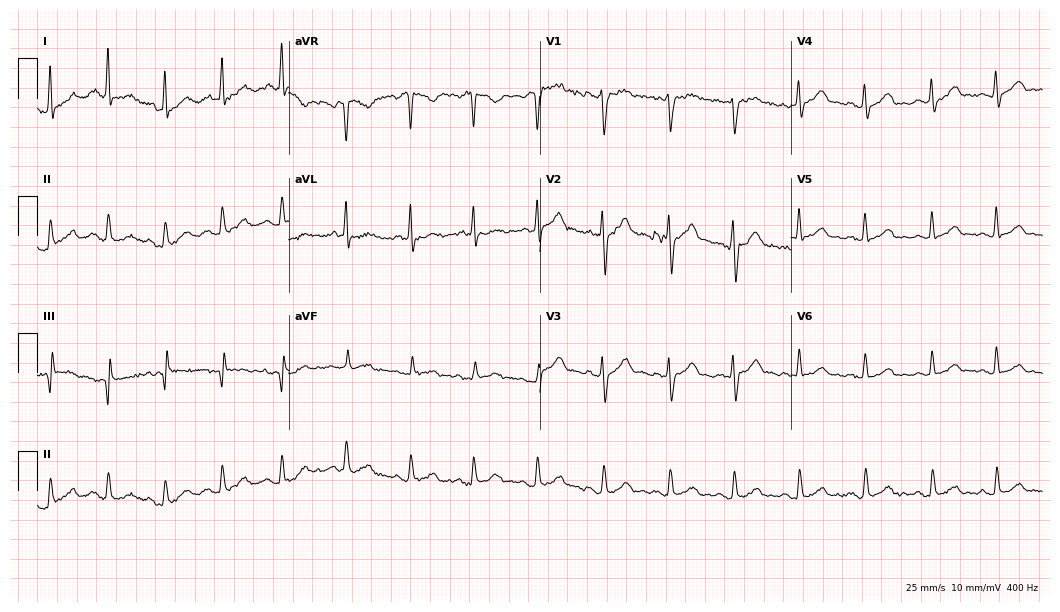
ECG — a man, 17 years old. Labelled as a normal ECG.